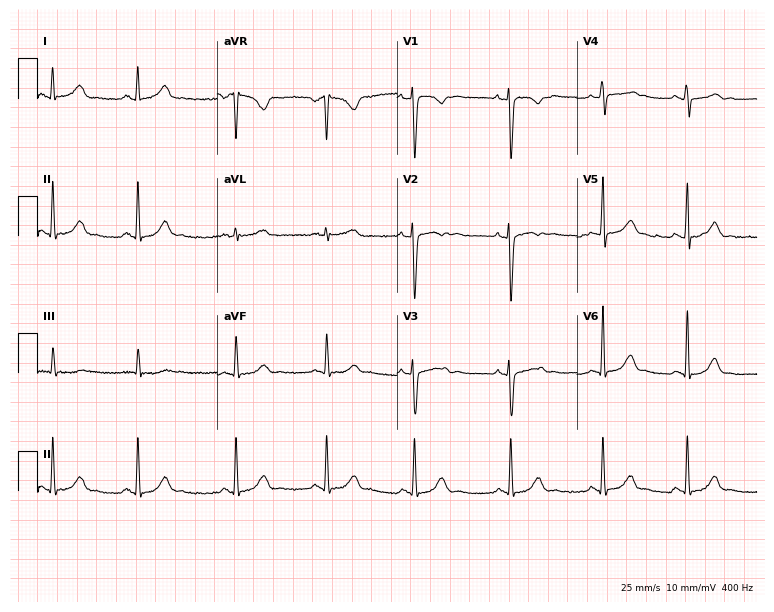
Resting 12-lead electrocardiogram. Patient: a female, 30 years old. None of these six findings is recorded: first-degree AV block, right bundle branch block, left bundle branch block, sinus bradycardia, atrial fibrillation, sinus tachycardia.